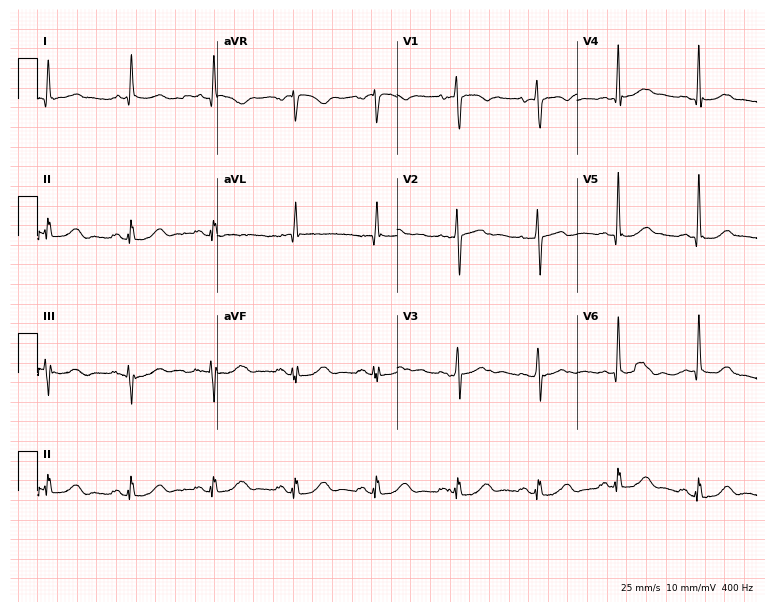
12-lead ECG (7.3-second recording at 400 Hz) from a female, 70 years old. Labelled as a normal ECG.